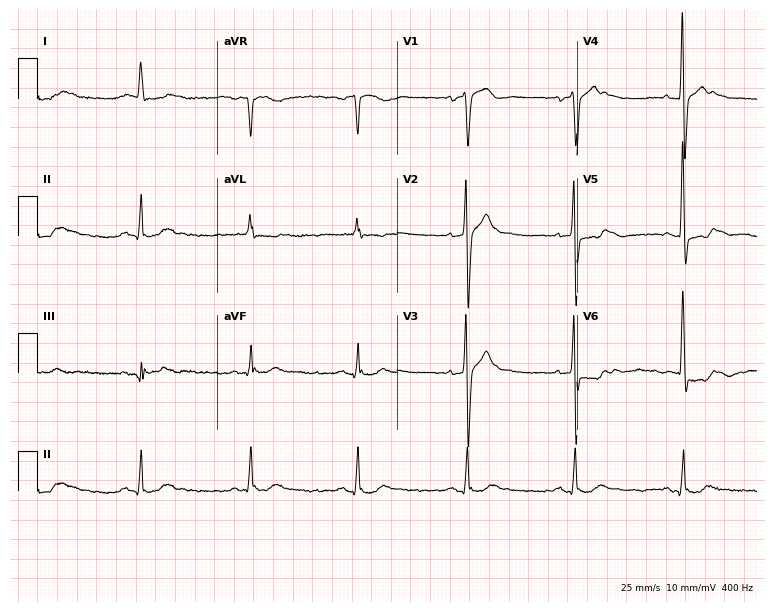
ECG — a male, 56 years old. Screened for six findings — first-degree AV block, right bundle branch block, left bundle branch block, sinus bradycardia, atrial fibrillation, sinus tachycardia — none is recorded. Findings outside these six are not listed.